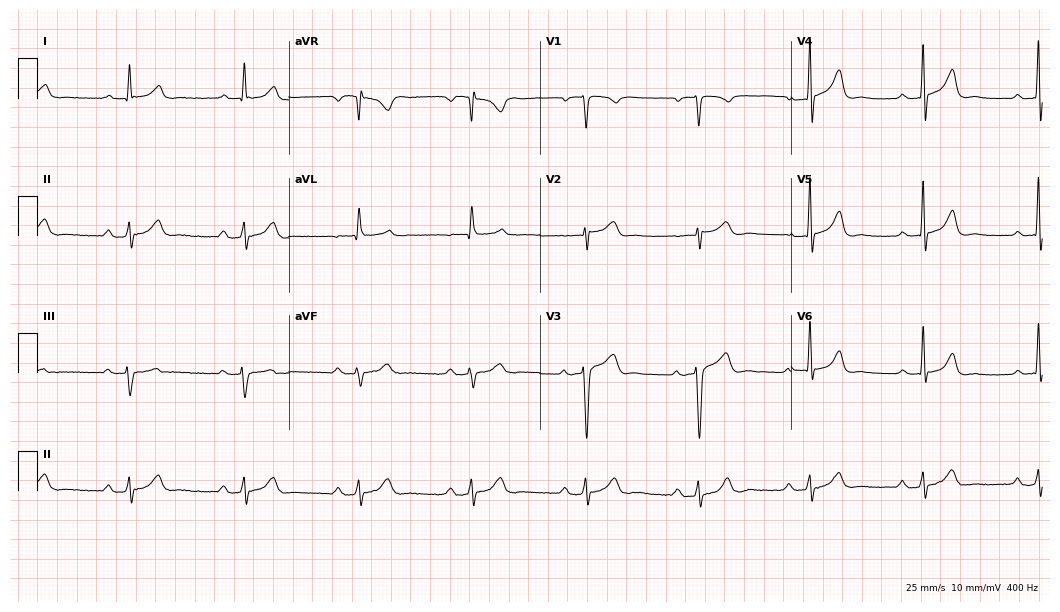
Standard 12-lead ECG recorded from a 67-year-old man. The tracing shows first-degree AV block.